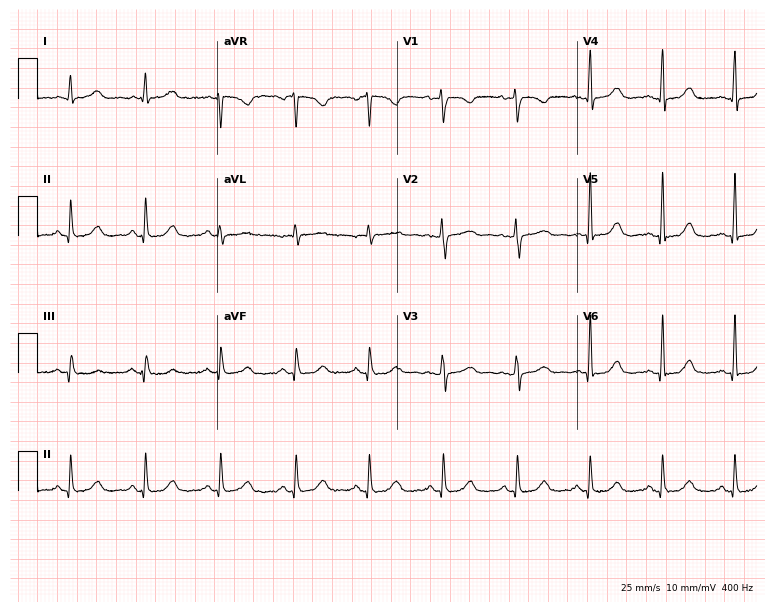
12-lead ECG (7.3-second recording at 400 Hz) from a 46-year-old female patient. Screened for six findings — first-degree AV block, right bundle branch block, left bundle branch block, sinus bradycardia, atrial fibrillation, sinus tachycardia — none is recorded.